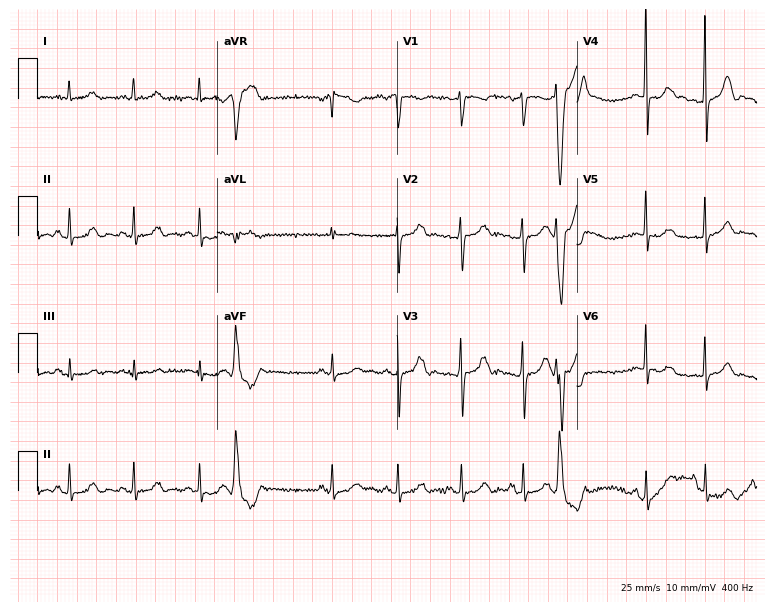
ECG (7.3-second recording at 400 Hz) — a 61-year-old woman. Screened for six findings — first-degree AV block, right bundle branch block, left bundle branch block, sinus bradycardia, atrial fibrillation, sinus tachycardia — none is recorded.